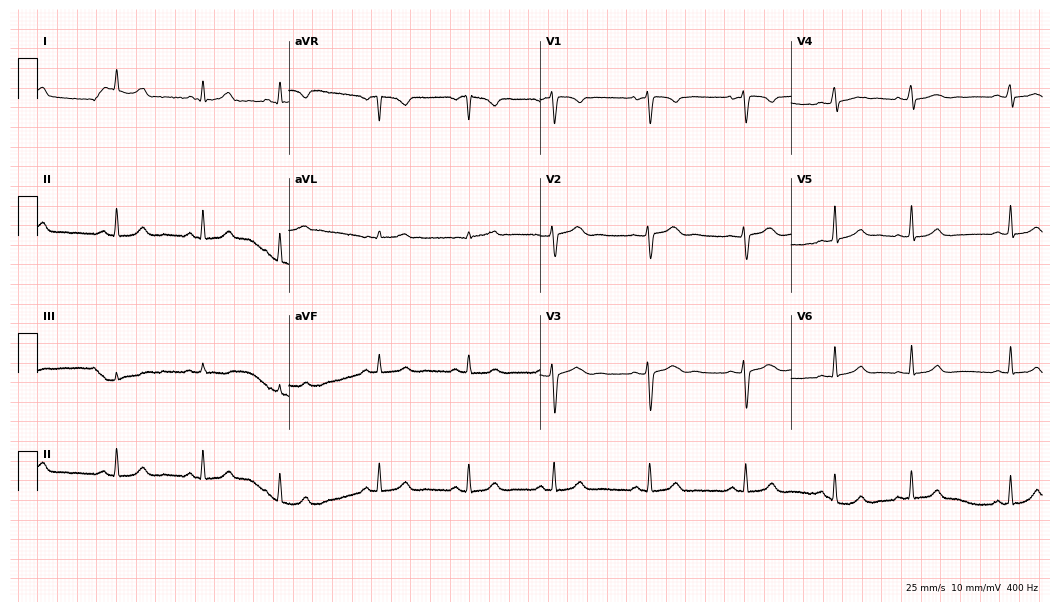
Resting 12-lead electrocardiogram (10.2-second recording at 400 Hz). Patient: a 21-year-old female. Read as a normal ECG.